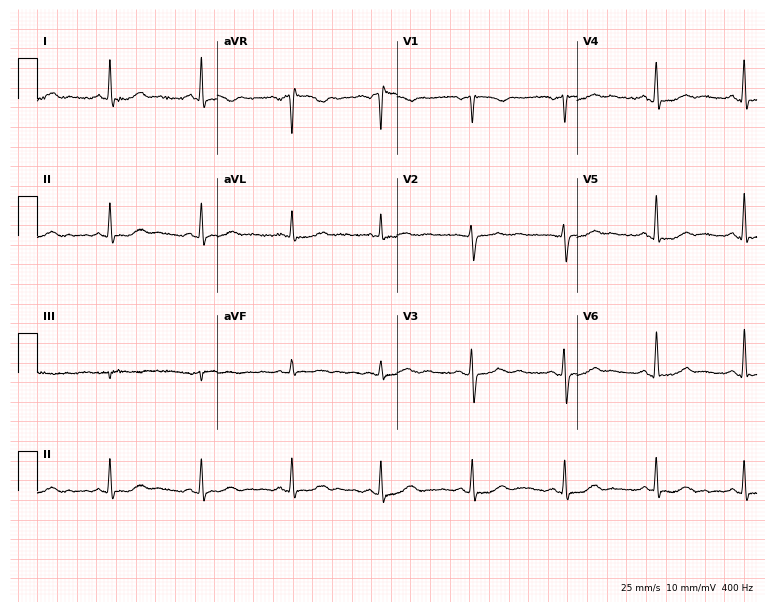
Standard 12-lead ECG recorded from a female, 59 years old (7.3-second recording at 400 Hz). Read as a normal ECG.